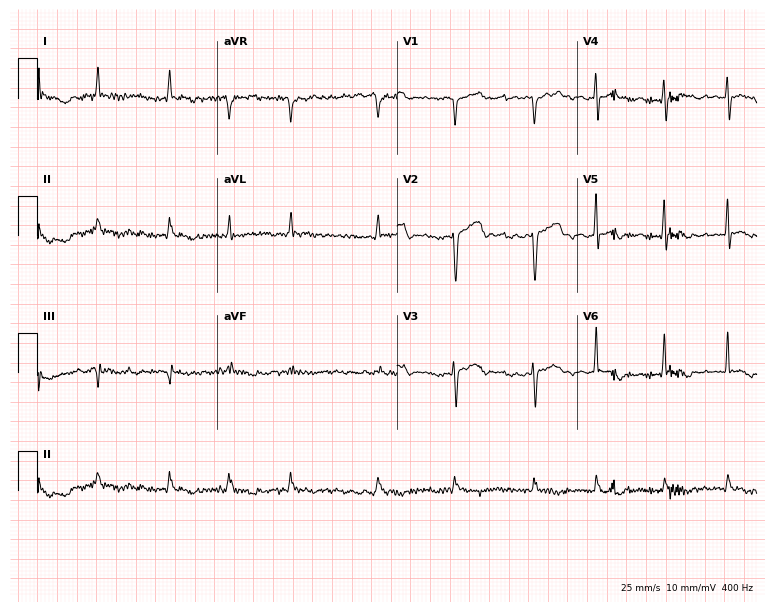
Resting 12-lead electrocardiogram. Patient: a 75-year-old male. The tracing shows atrial fibrillation (AF).